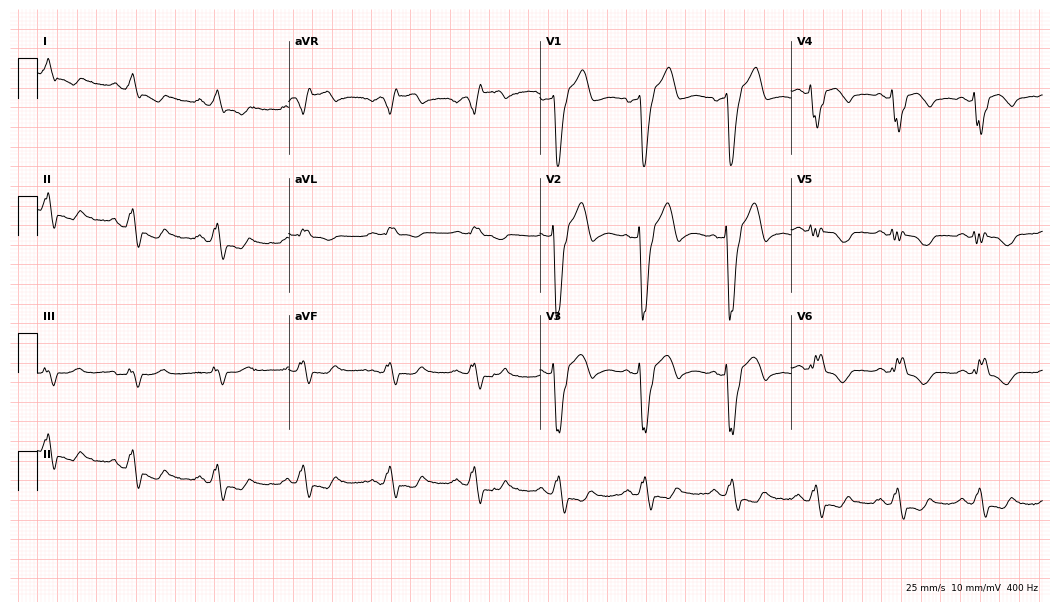
ECG (10.2-second recording at 400 Hz) — a 71-year-old male patient. Findings include left bundle branch block.